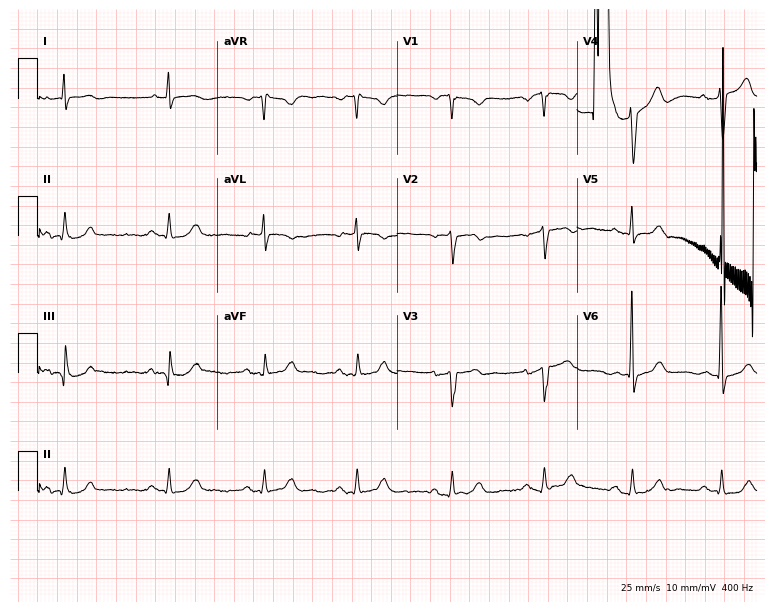
Resting 12-lead electrocardiogram (7.3-second recording at 400 Hz). Patient: a male, 79 years old. None of these six findings is recorded: first-degree AV block, right bundle branch block (RBBB), left bundle branch block (LBBB), sinus bradycardia, atrial fibrillation (AF), sinus tachycardia. Other findings, if any, are not listed.